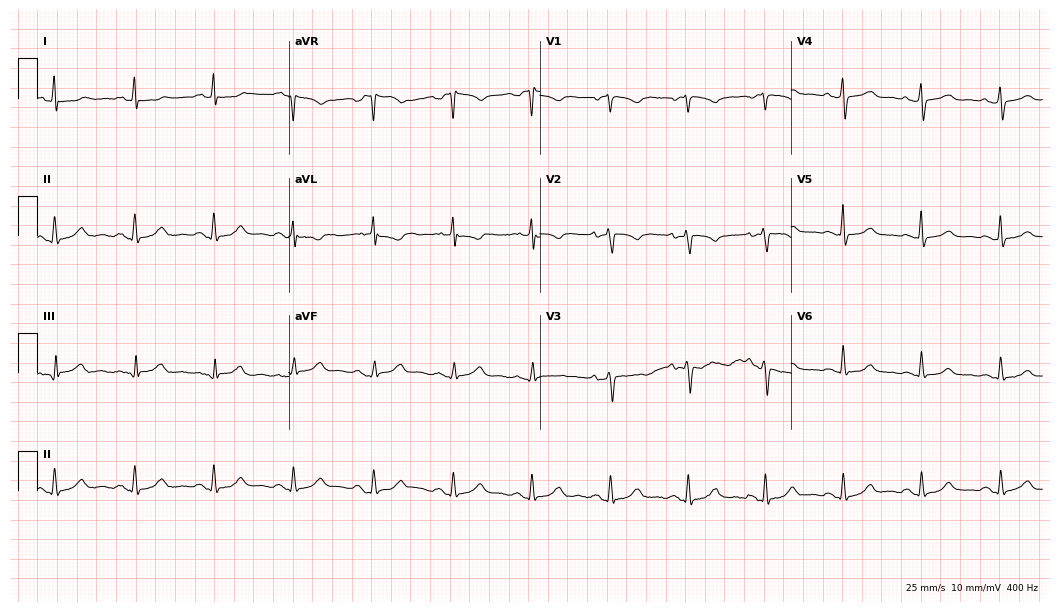
12-lead ECG (10.2-second recording at 400 Hz) from a 67-year-old female patient. Labelled as a normal ECG.